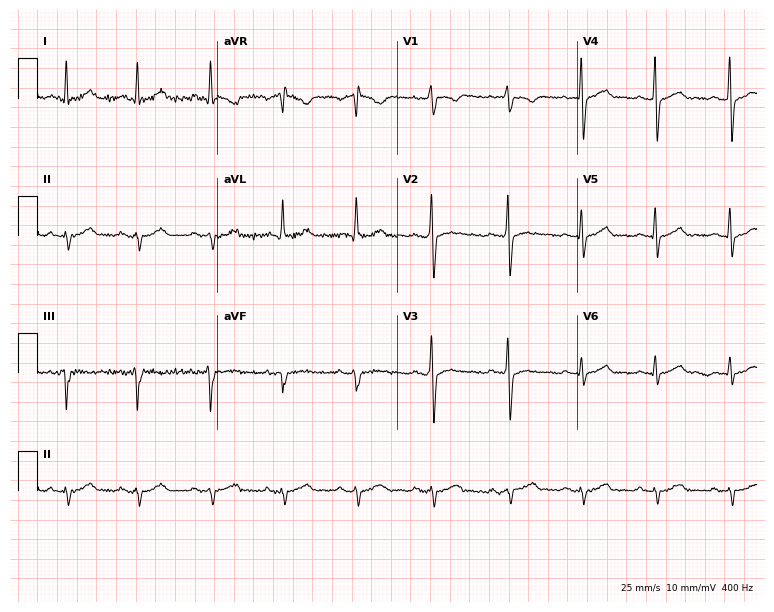
12-lead ECG from a male, 38 years old (7.3-second recording at 400 Hz). No first-degree AV block, right bundle branch block, left bundle branch block, sinus bradycardia, atrial fibrillation or sinus tachycardia recorded for this tracing.